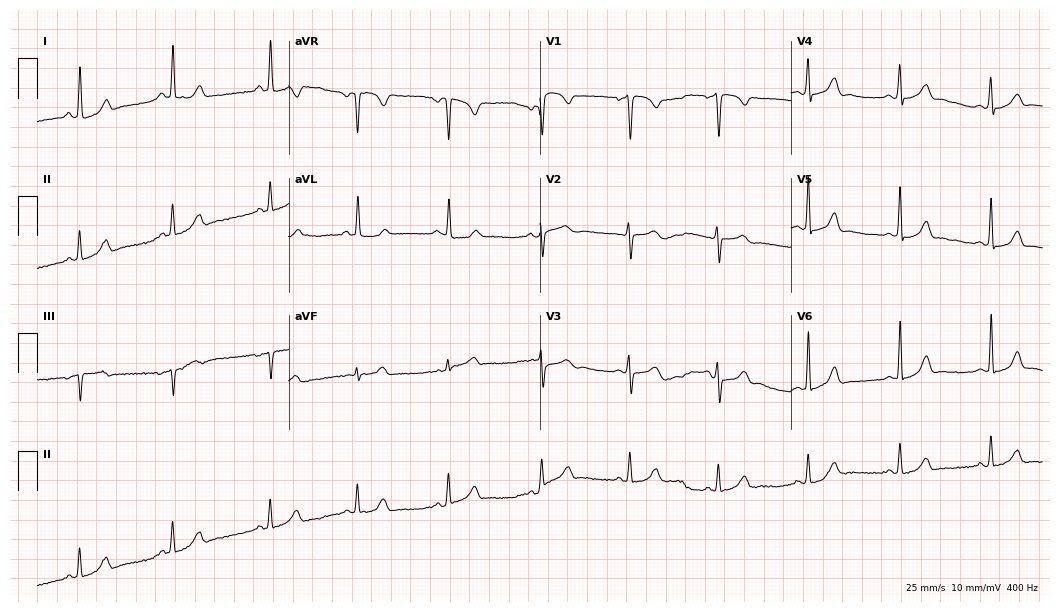
Electrocardiogram (10.2-second recording at 400 Hz), a 26-year-old female. Of the six screened findings (first-degree AV block, right bundle branch block, left bundle branch block, sinus bradycardia, atrial fibrillation, sinus tachycardia), none is recorded.